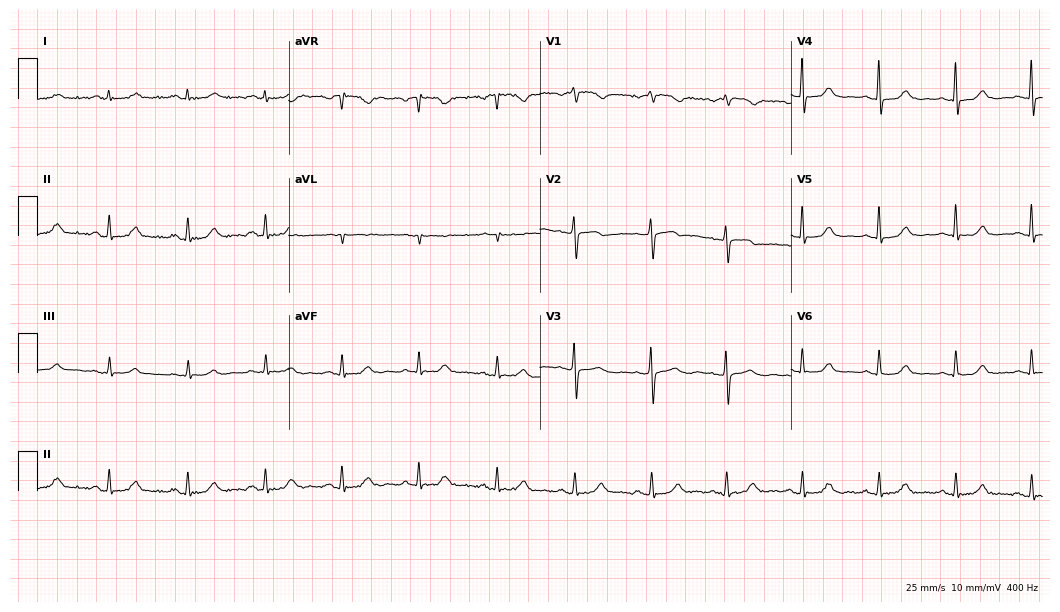
Standard 12-lead ECG recorded from a 64-year-old woman. Read as a normal ECG.